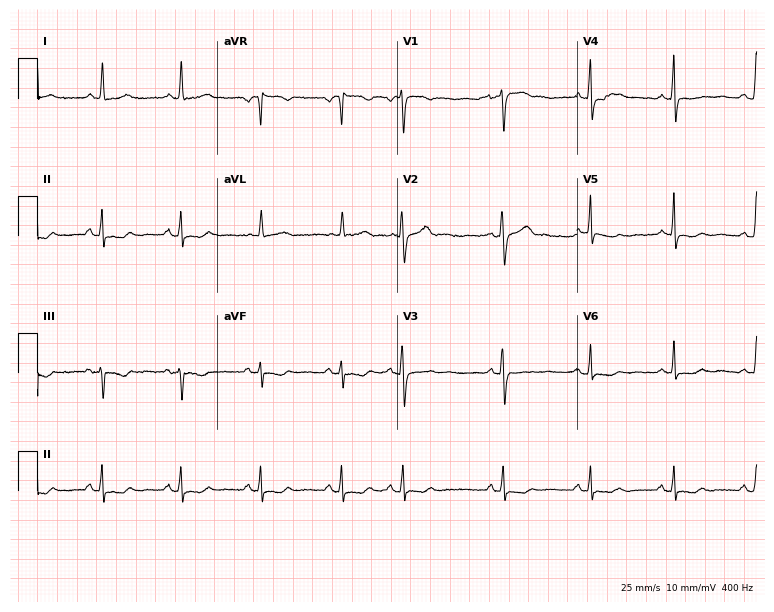
Resting 12-lead electrocardiogram (7.3-second recording at 400 Hz). Patient: a female, 59 years old. None of these six findings is recorded: first-degree AV block, right bundle branch block (RBBB), left bundle branch block (LBBB), sinus bradycardia, atrial fibrillation (AF), sinus tachycardia.